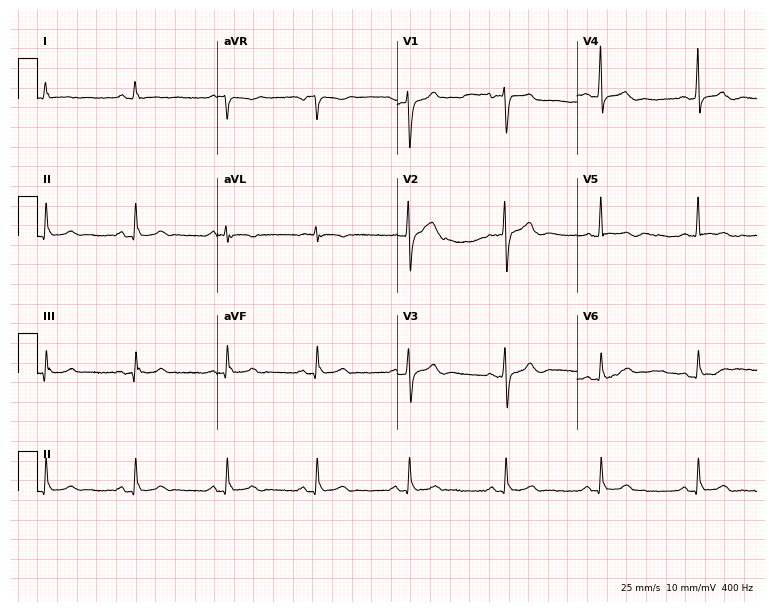
12-lead ECG from a 77-year-old male patient (7.3-second recording at 400 Hz). No first-degree AV block, right bundle branch block, left bundle branch block, sinus bradycardia, atrial fibrillation or sinus tachycardia recorded for this tracing. Other findings, if any, are not listed.